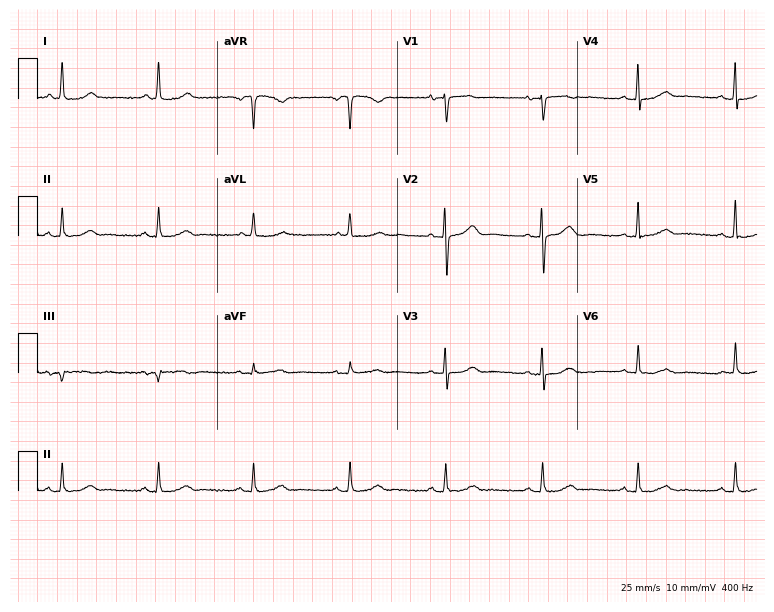
12-lead ECG from a female patient, 68 years old (7.3-second recording at 400 Hz). Recorded interpretation: within normal limits.